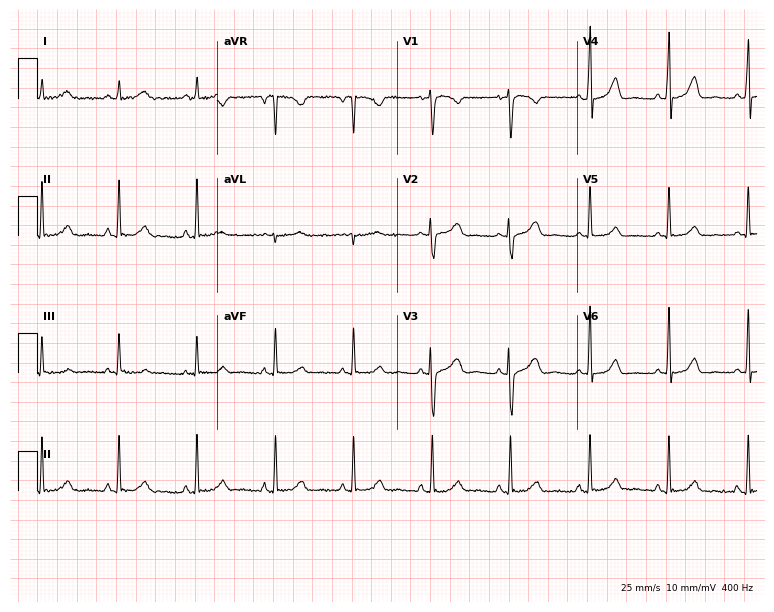
Standard 12-lead ECG recorded from a 48-year-old female (7.3-second recording at 400 Hz). None of these six findings is recorded: first-degree AV block, right bundle branch block, left bundle branch block, sinus bradycardia, atrial fibrillation, sinus tachycardia.